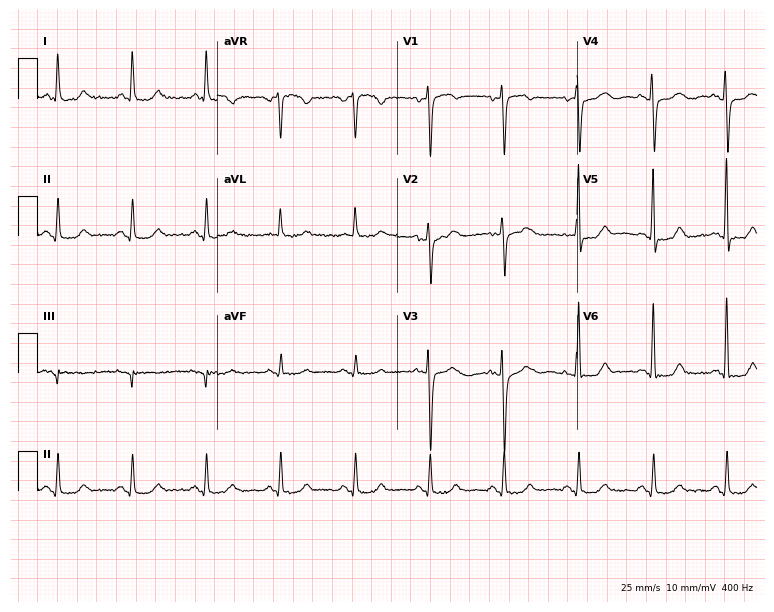
12-lead ECG (7.3-second recording at 400 Hz) from a female patient, 75 years old. Screened for six findings — first-degree AV block, right bundle branch block, left bundle branch block, sinus bradycardia, atrial fibrillation, sinus tachycardia — none is recorded. Other findings, if any, are not listed.